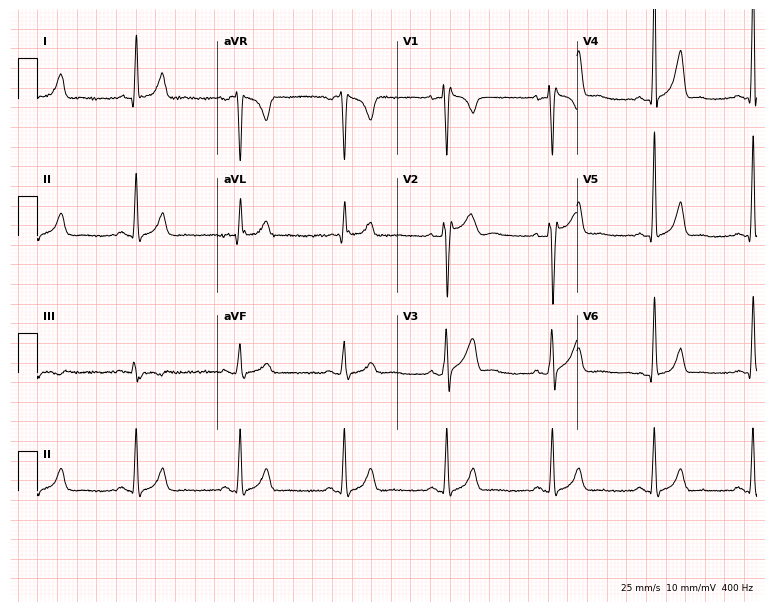
12-lead ECG from a male, 38 years old. Screened for six findings — first-degree AV block, right bundle branch block, left bundle branch block, sinus bradycardia, atrial fibrillation, sinus tachycardia — none is recorded.